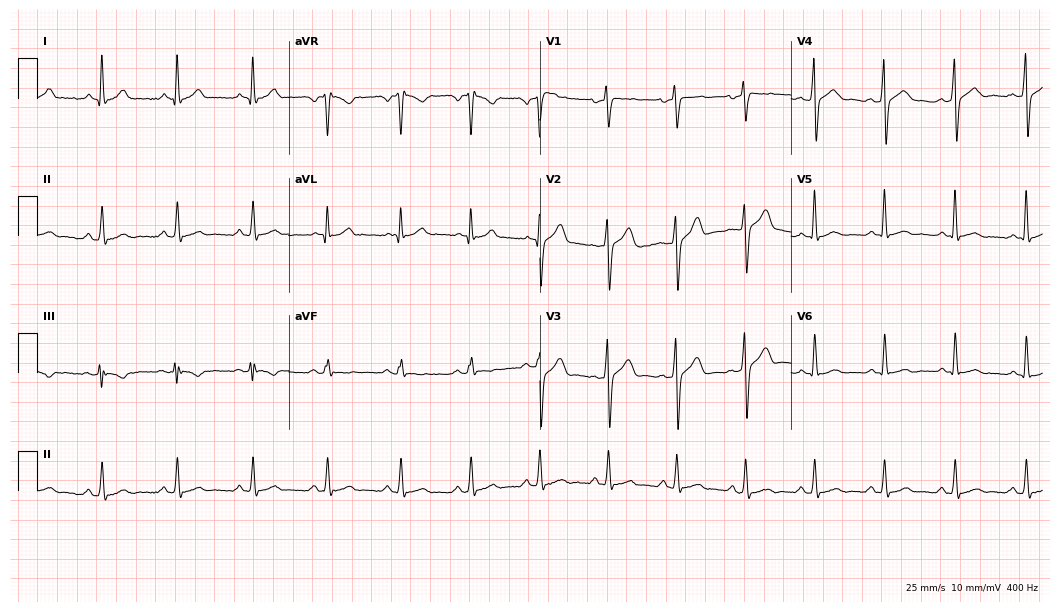
Resting 12-lead electrocardiogram (10.2-second recording at 400 Hz). Patient: a 42-year-old male. None of these six findings is recorded: first-degree AV block, right bundle branch block, left bundle branch block, sinus bradycardia, atrial fibrillation, sinus tachycardia. Other findings, if any, are not listed.